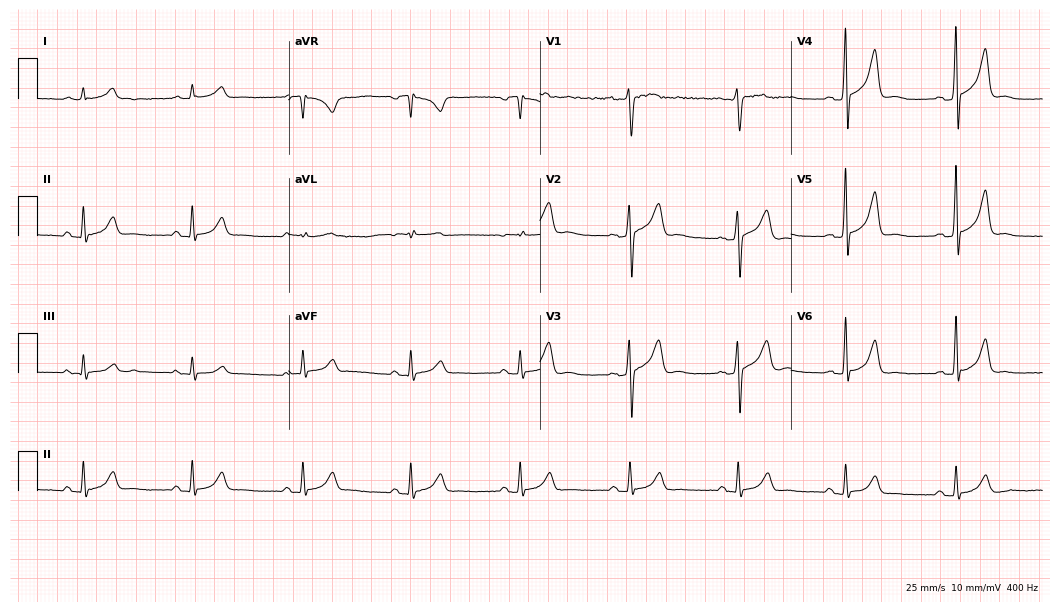
12-lead ECG from a male patient, 55 years old. Screened for six findings — first-degree AV block, right bundle branch block, left bundle branch block, sinus bradycardia, atrial fibrillation, sinus tachycardia — none is recorded. Findings outside these six are not listed.